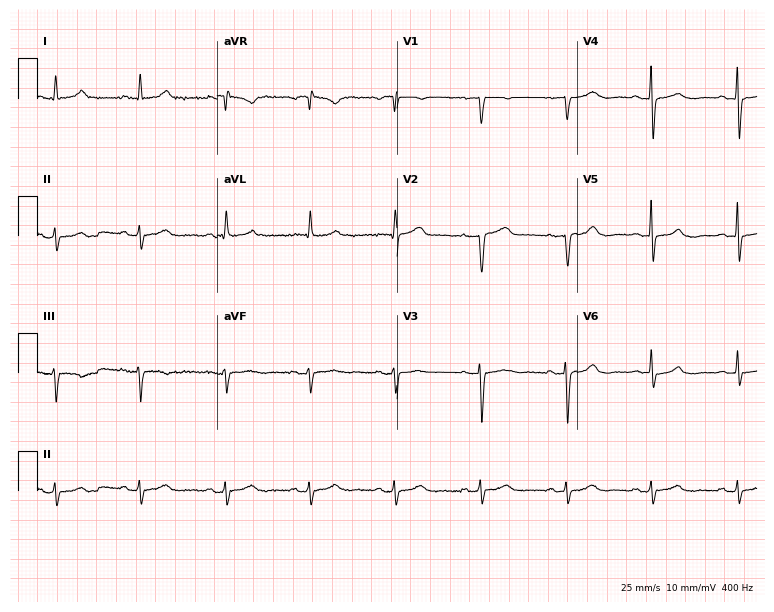
12-lead ECG from a female patient, 77 years old (7.3-second recording at 400 Hz). No first-degree AV block, right bundle branch block (RBBB), left bundle branch block (LBBB), sinus bradycardia, atrial fibrillation (AF) or sinus tachycardia recorded for this tracing. Other findings, if any, are not listed.